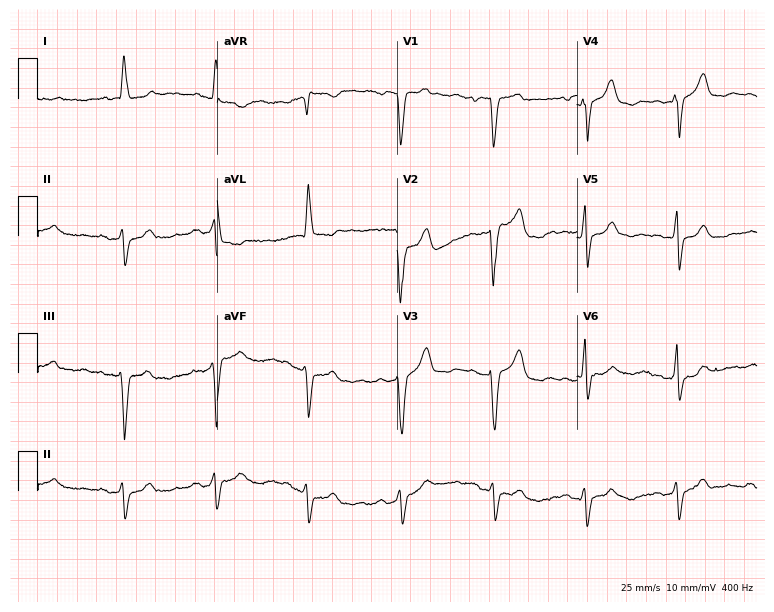
12-lead ECG (7.3-second recording at 400 Hz) from an 80-year-old female. Screened for six findings — first-degree AV block, right bundle branch block, left bundle branch block, sinus bradycardia, atrial fibrillation, sinus tachycardia — none is recorded.